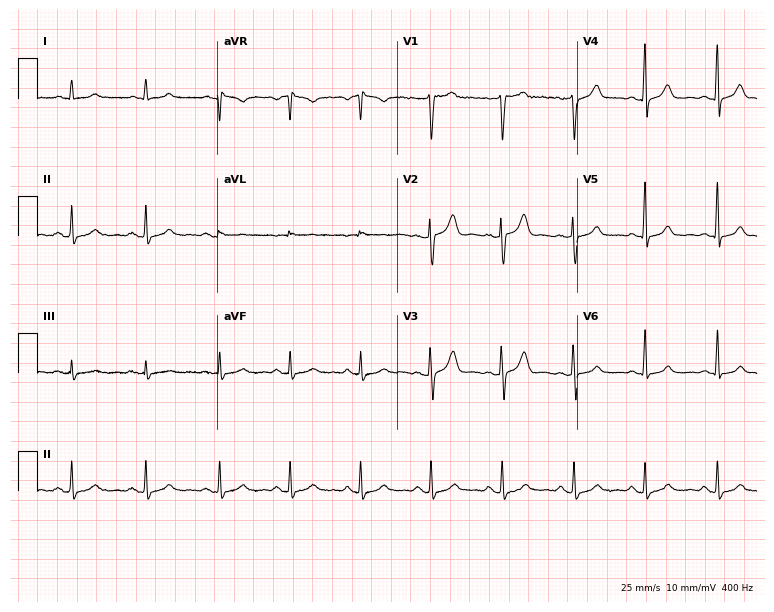
Resting 12-lead electrocardiogram. Patient: a man, 34 years old. None of these six findings is recorded: first-degree AV block, right bundle branch block, left bundle branch block, sinus bradycardia, atrial fibrillation, sinus tachycardia. Other findings, if any, are not listed.